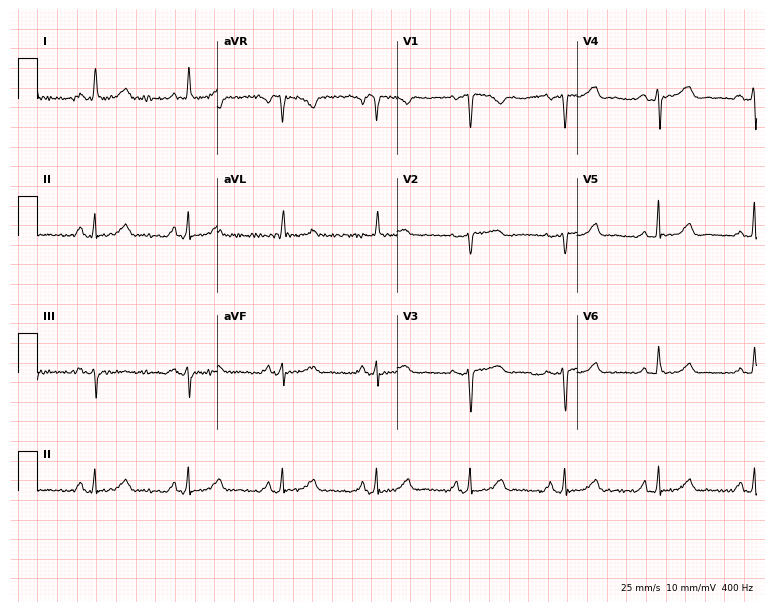
Electrocardiogram, a female, 58 years old. Of the six screened findings (first-degree AV block, right bundle branch block, left bundle branch block, sinus bradycardia, atrial fibrillation, sinus tachycardia), none is recorded. Findings outside these six are not listed.